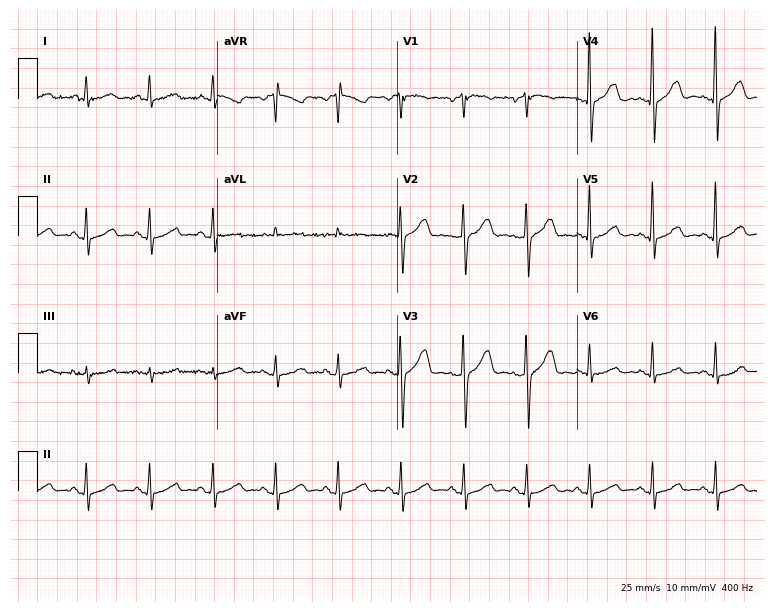
ECG — a woman, 54 years old. Screened for six findings — first-degree AV block, right bundle branch block (RBBB), left bundle branch block (LBBB), sinus bradycardia, atrial fibrillation (AF), sinus tachycardia — none is recorded. Only these six findings were labelled.